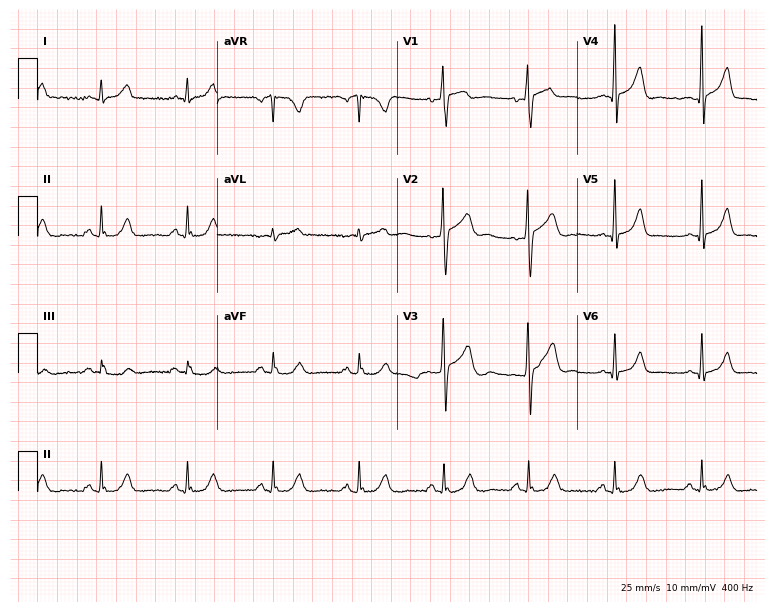
ECG — a 42-year-old woman. Labelled as a normal ECG.